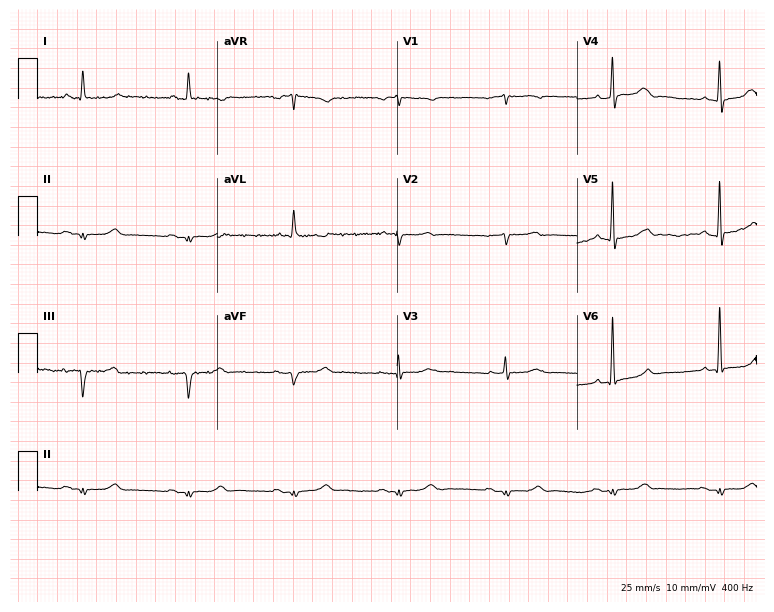
Standard 12-lead ECG recorded from a man, 76 years old (7.3-second recording at 400 Hz). None of these six findings is recorded: first-degree AV block, right bundle branch block (RBBB), left bundle branch block (LBBB), sinus bradycardia, atrial fibrillation (AF), sinus tachycardia.